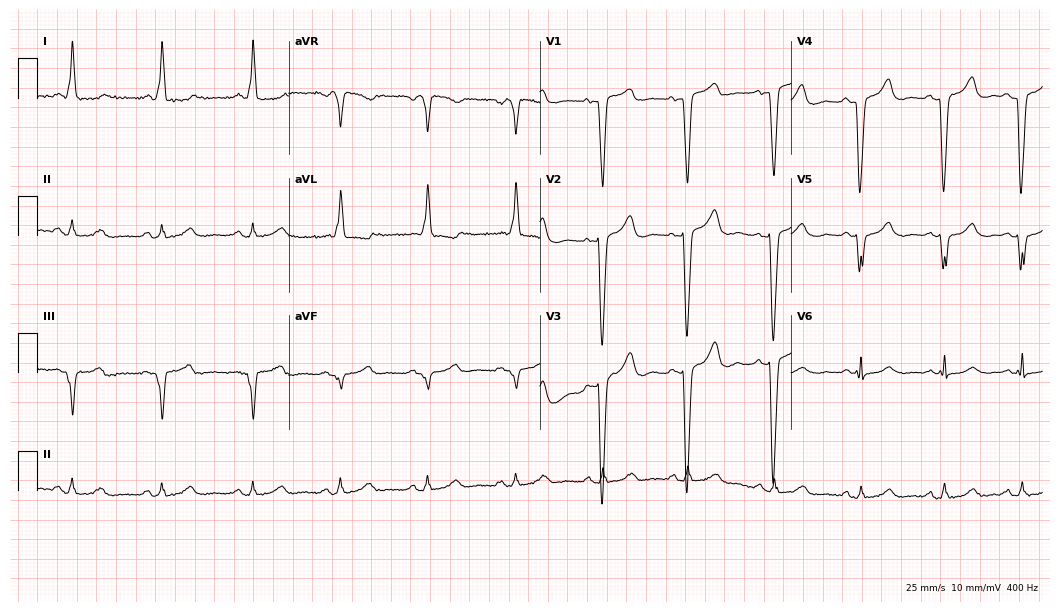
12-lead ECG (10.2-second recording at 400 Hz) from a female, 82 years old. Screened for six findings — first-degree AV block, right bundle branch block (RBBB), left bundle branch block (LBBB), sinus bradycardia, atrial fibrillation (AF), sinus tachycardia — none is recorded. Other findings, if any, are not listed.